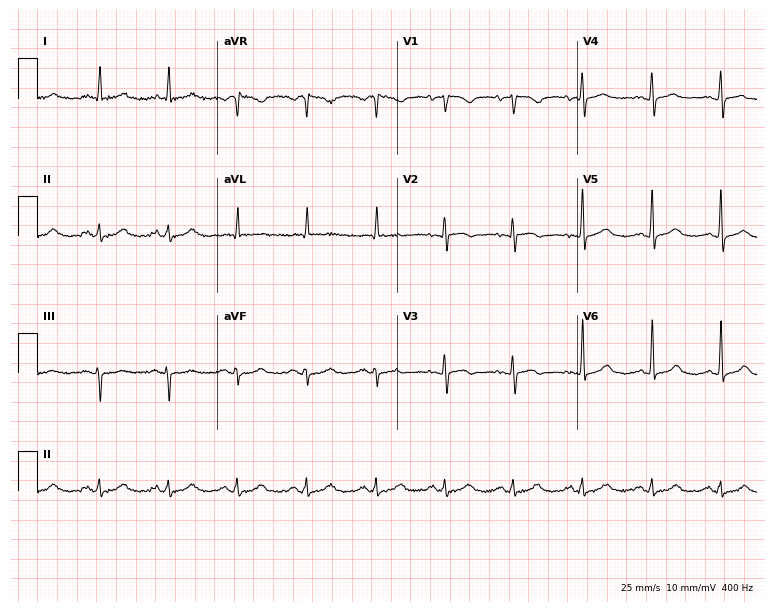
12-lead ECG (7.3-second recording at 400 Hz) from a woman, 81 years old. Labelled as a normal ECG.